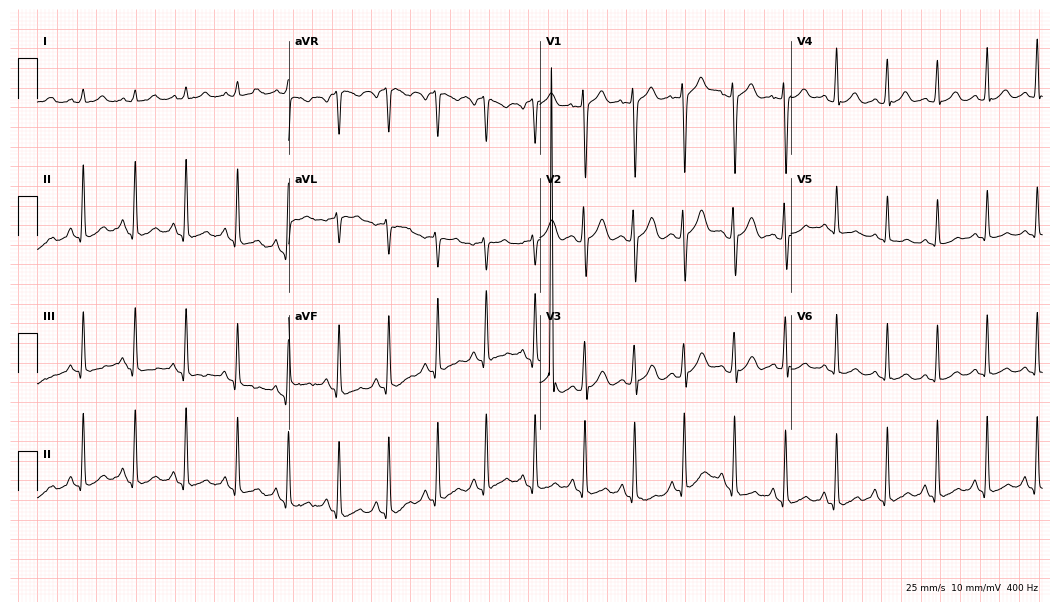
Electrocardiogram (10.2-second recording at 400 Hz), a male, 17 years old. Interpretation includes atrial fibrillation.